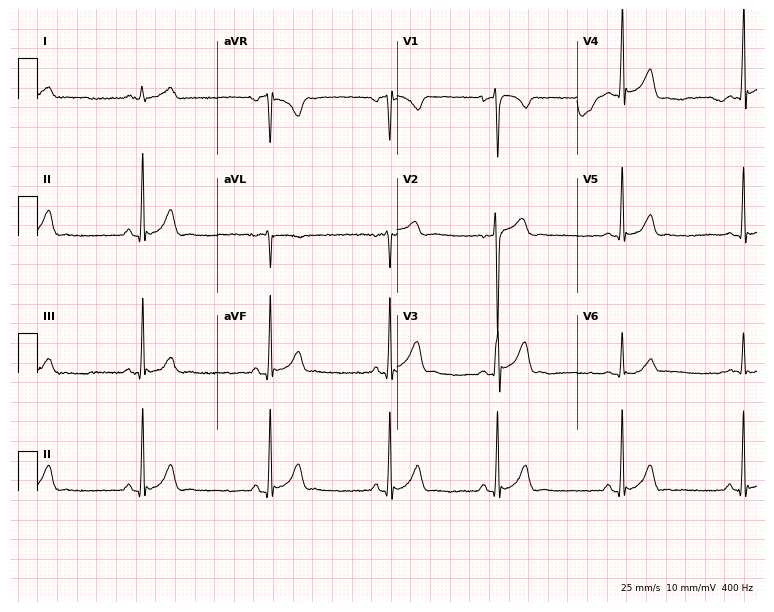
Electrocardiogram (7.3-second recording at 400 Hz), an 18-year-old man. Of the six screened findings (first-degree AV block, right bundle branch block (RBBB), left bundle branch block (LBBB), sinus bradycardia, atrial fibrillation (AF), sinus tachycardia), none is recorded.